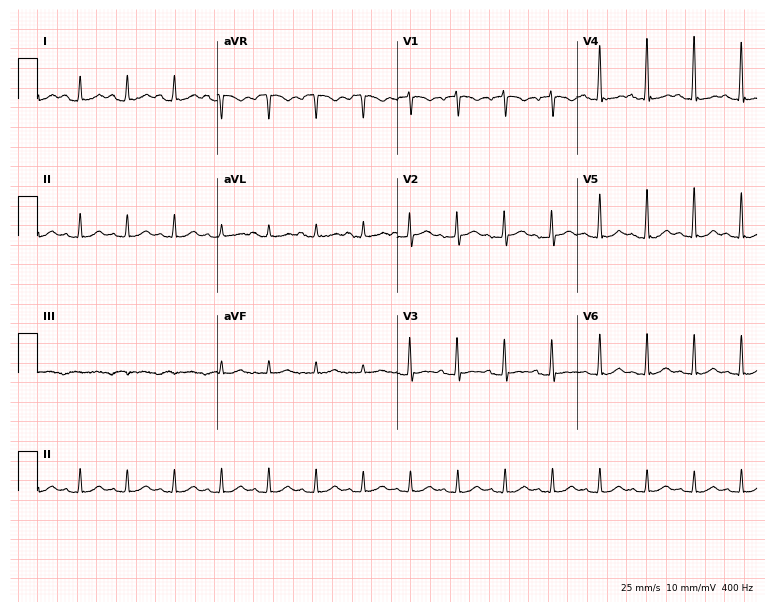
Standard 12-lead ECG recorded from a male, 80 years old. The tracing shows sinus tachycardia (a sinus rate of 100 beats per minute or more).